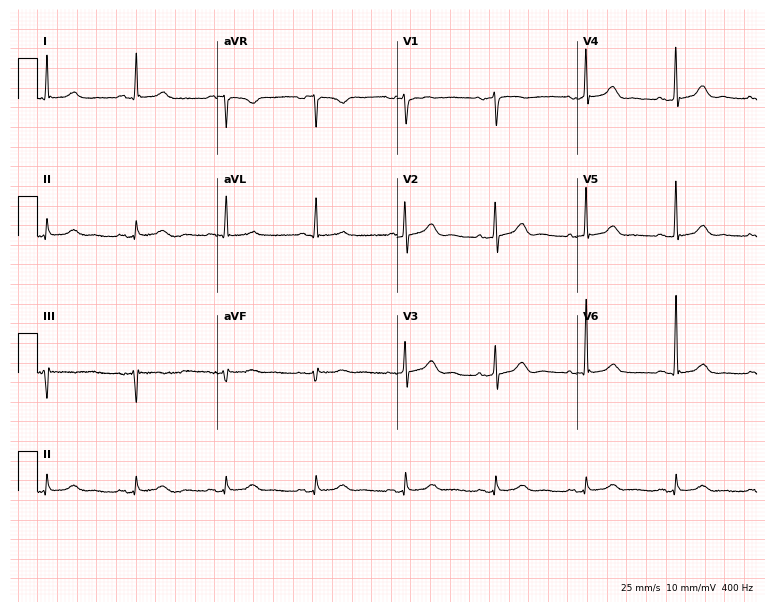
12-lead ECG from a male patient, 76 years old (7.3-second recording at 400 Hz). Recorded interpretation: within normal limits.